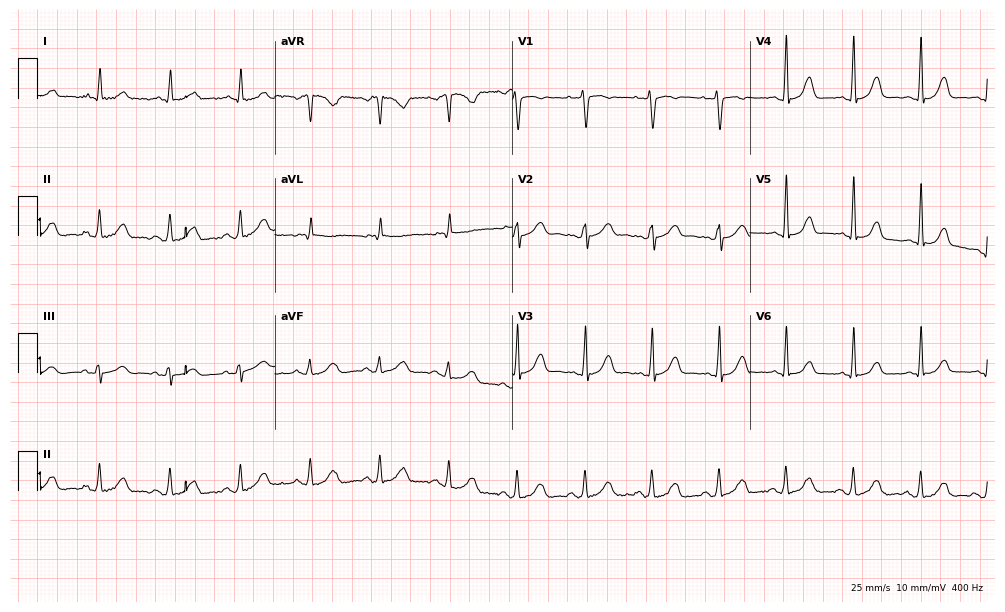
12-lead ECG from a female patient, 61 years old (9.7-second recording at 400 Hz). Recorded interpretation: within normal limits.